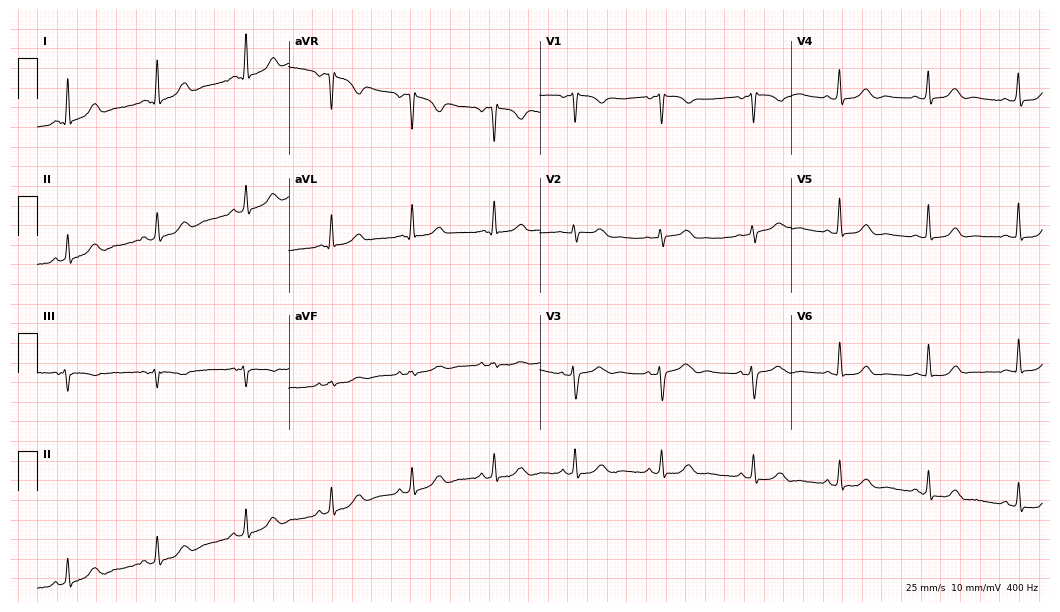
Resting 12-lead electrocardiogram (10.2-second recording at 400 Hz). Patient: a female, 49 years old. Read as a normal ECG.